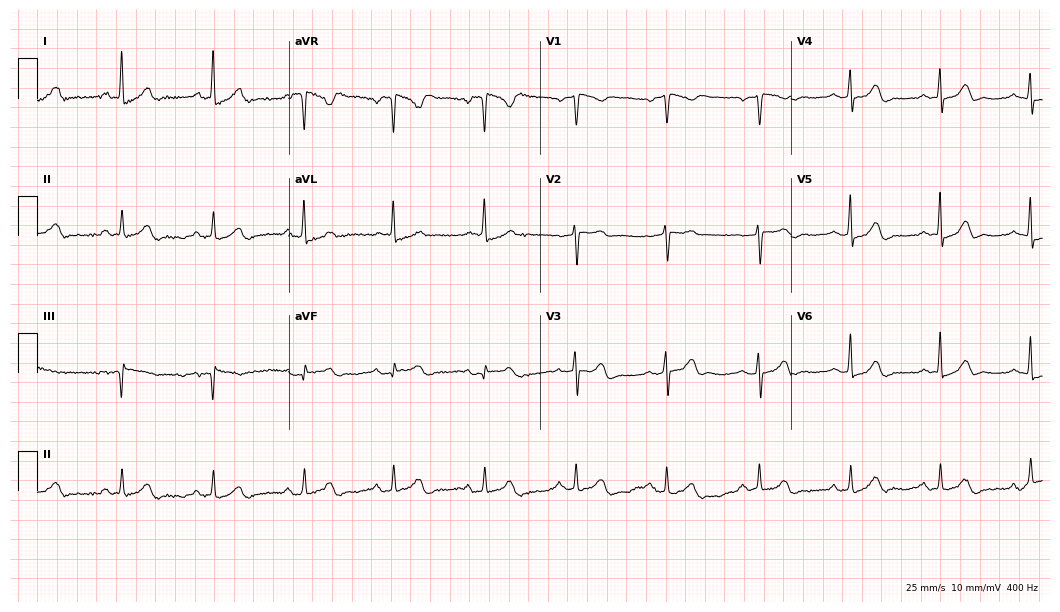
12-lead ECG from a woman, 71 years old. No first-degree AV block, right bundle branch block, left bundle branch block, sinus bradycardia, atrial fibrillation or sinus tachycardia recorded for this tracing.